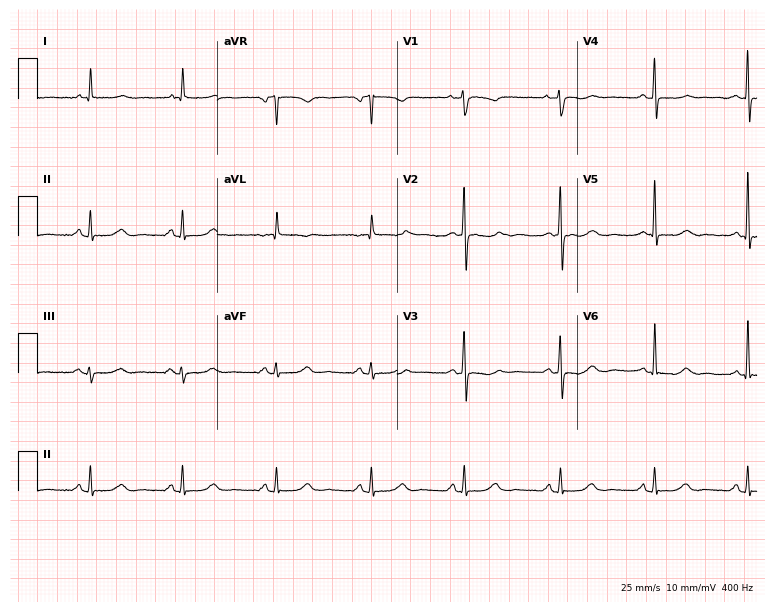
Resting 12-lead electrocardiogram (7.3-second recording at 400 Hz). Patient: a female, 77 years old. None of these six findings is recorded: first-degree AV block, right bundle branch block (RBBB), left bundle branch block (LBBB), sinus bradycardia, atrial fibrillation (AF), sinus tachycardia.